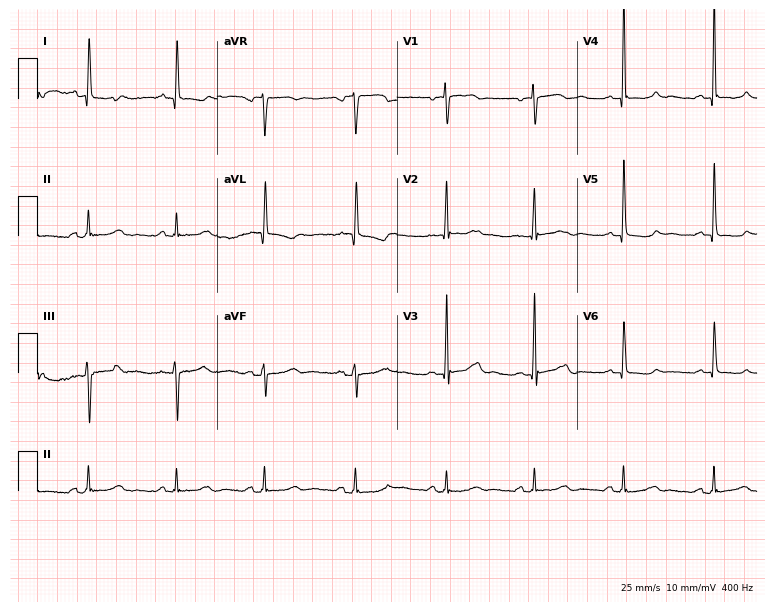
Electrocardiogram, a female patient, 59 years old. Of the six screened findings (first-degree AV block, right bundle branch block, left bundle branch block, sinus bradycardia, atrial fibrillation, sinus tachycardia), none is recorded.